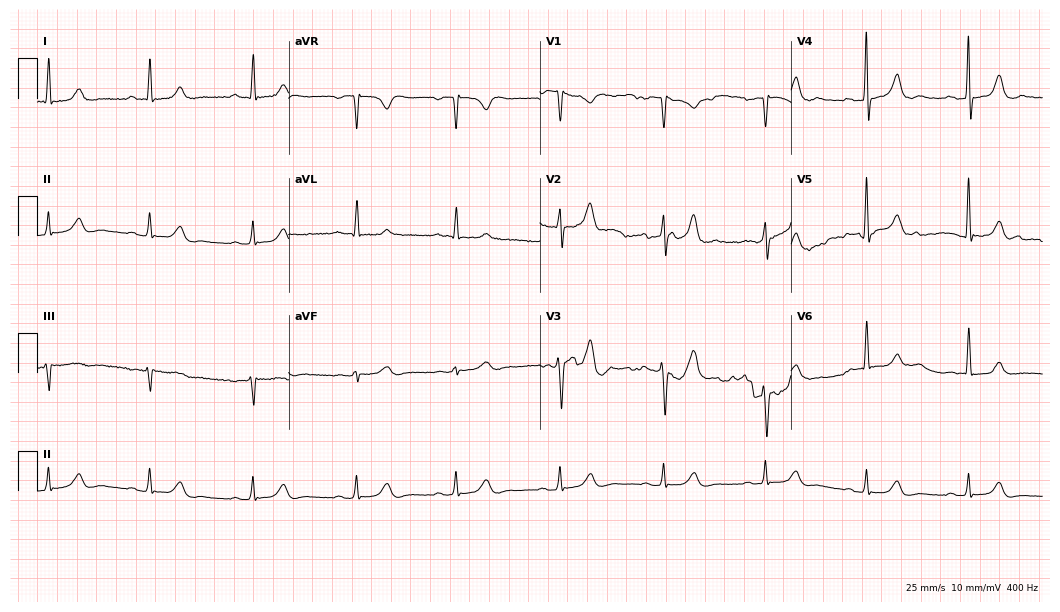
Standard 12-lead ECG recorded from a 70-year-old woman (10.2-second recording at 400 Hz). Read as a normal ECG.